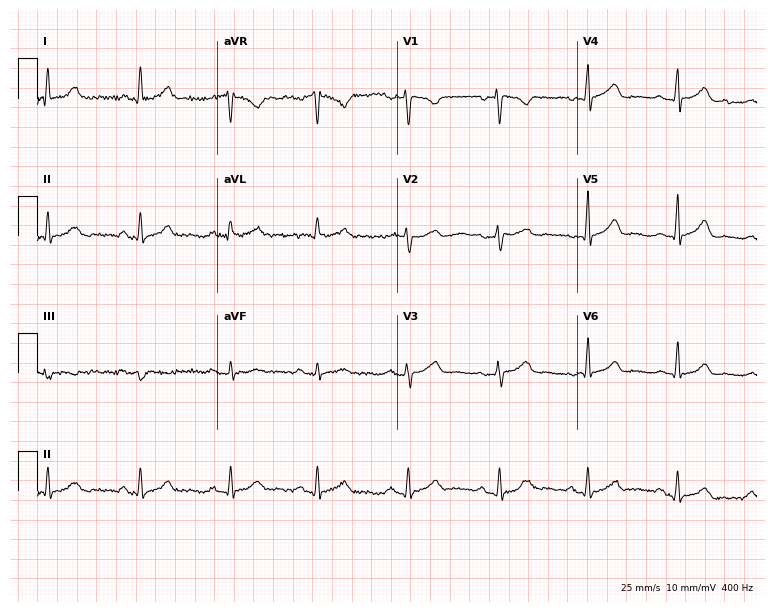
12-lead ECG (7.3-second recording at 400 Hz) from a 21-year-old female patient. Labelled as a normal ECG.